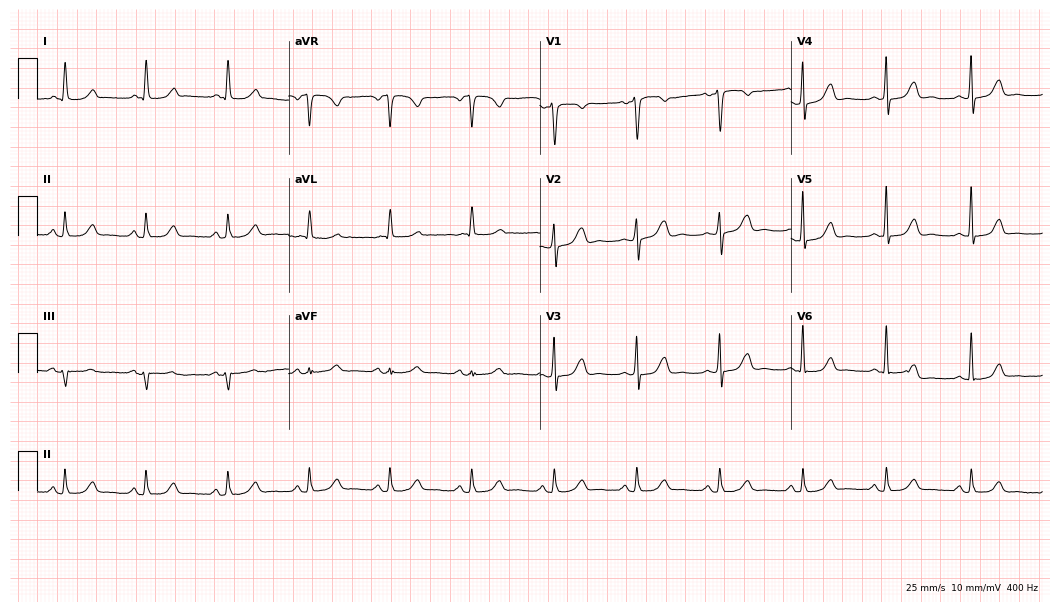
Resting 12-lead electrocardiogram (10.2-second recording at 400 Hz). Patient: a 67-year-old woman. Read as a normal ECG.